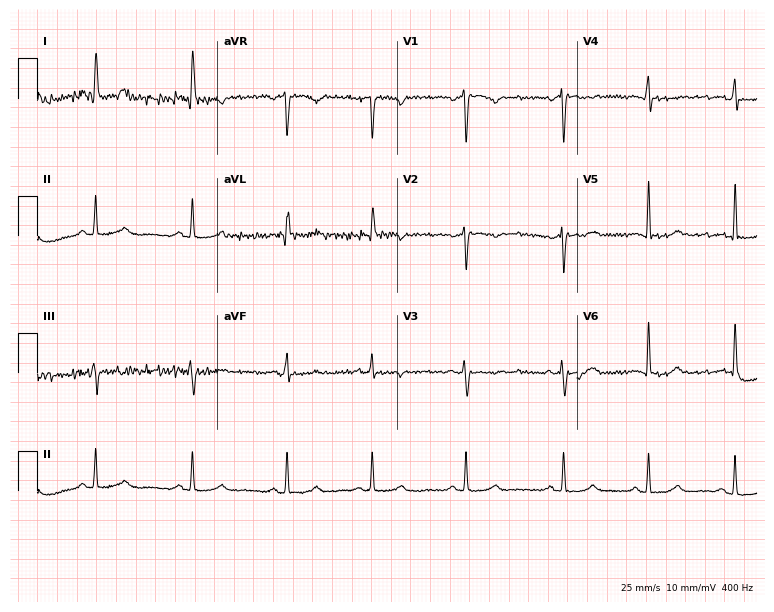
Resting 12-lead electrocardiogram (7.3-second recording at 400 Hz). Patient: a 49-year-old woman. None of these six findings is recorded: first-degree AV block, right bundle branch block, left bundle branch block, sinus bradycardia, atrial fibrillation, sinus tachycardia. Only these six findings were labelled.